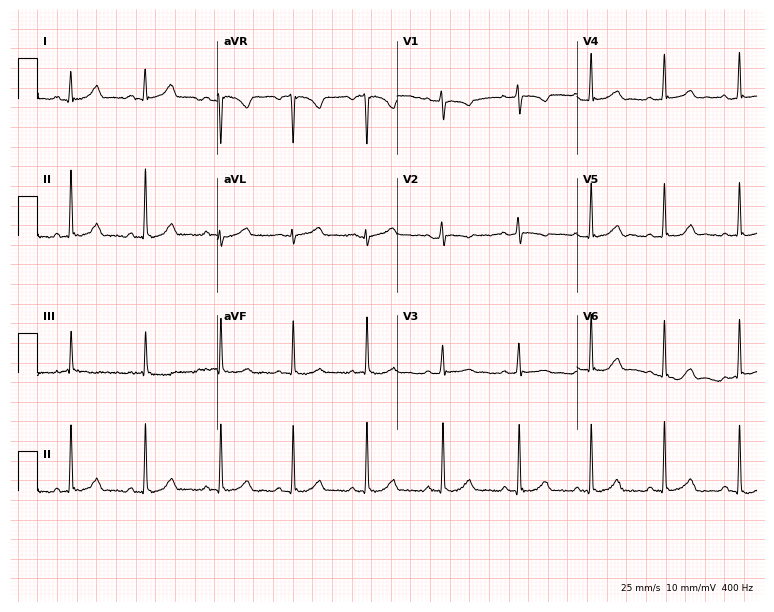
ECG (7.3-second recording at 400 Hz) — a female patient, 23 years old. Screened for six findings — first-degree AV block, right bundle branch block (RBBB), left bundle branch block (LBBB), sinus bradycardia, atrial fibrillation (AF), sinus tachycardia — none is recorded. Only these six findings were labelled.